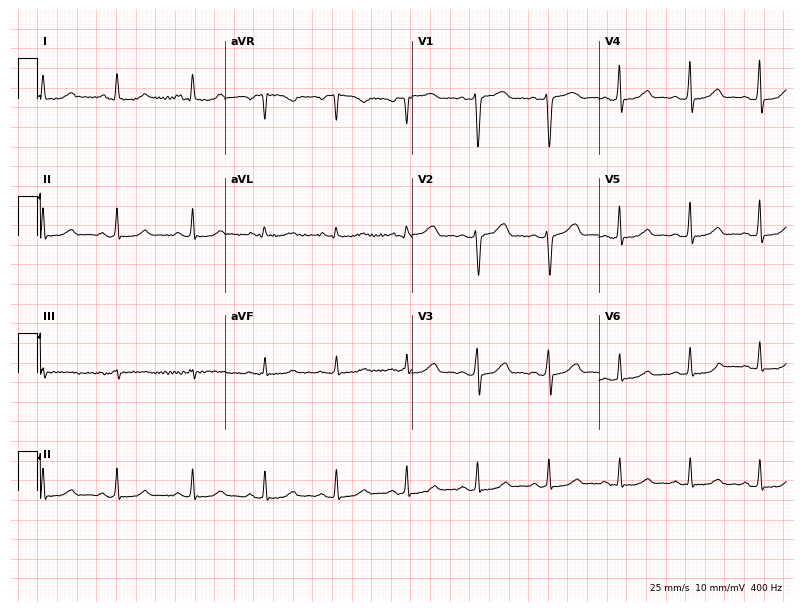
Electrocardiogram, a female patient, 58 years old. Overall reading on record: normal ECG.